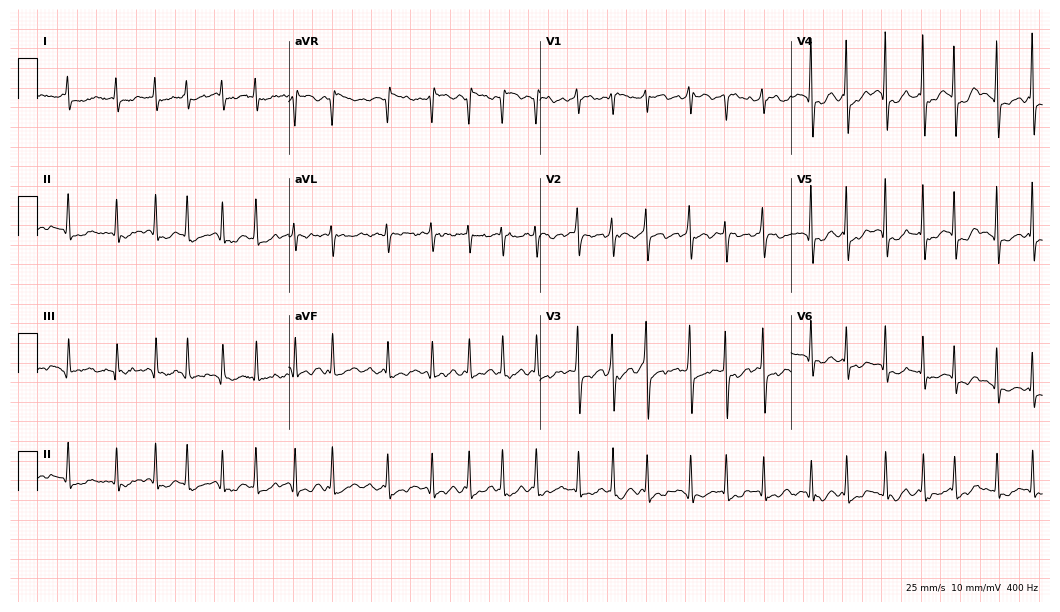
Resting 12-lead electrocardiogram. Patient: a 67-year-old female. The tracing shows atrial fibrillation (AF).